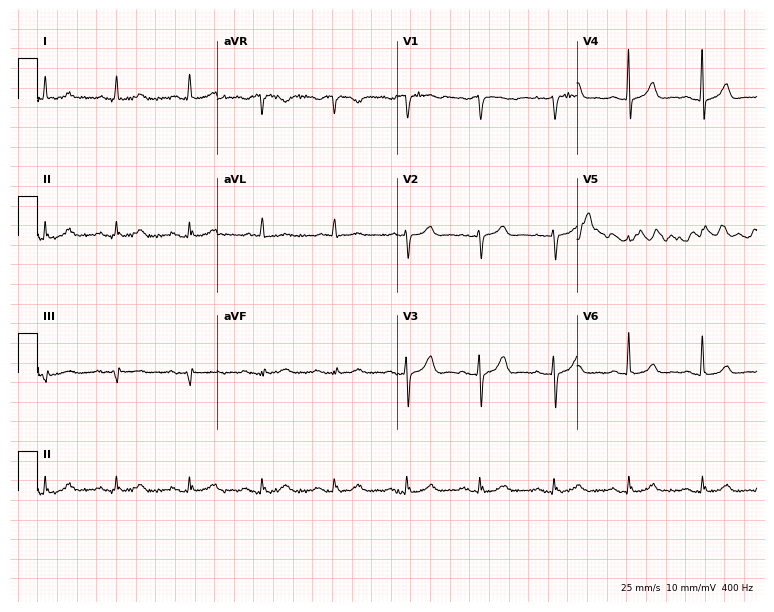
Electrocardiogram (7.3-second recording at 400 Hz), a male, 79 years old. Of the six screened findings (first-degree AV block, right bundle branch block (RBBB), left bundle branch block (LBBB), sinus bradycardia, atrial fibrillation (AF), sinus tachycardia), none is recorded.